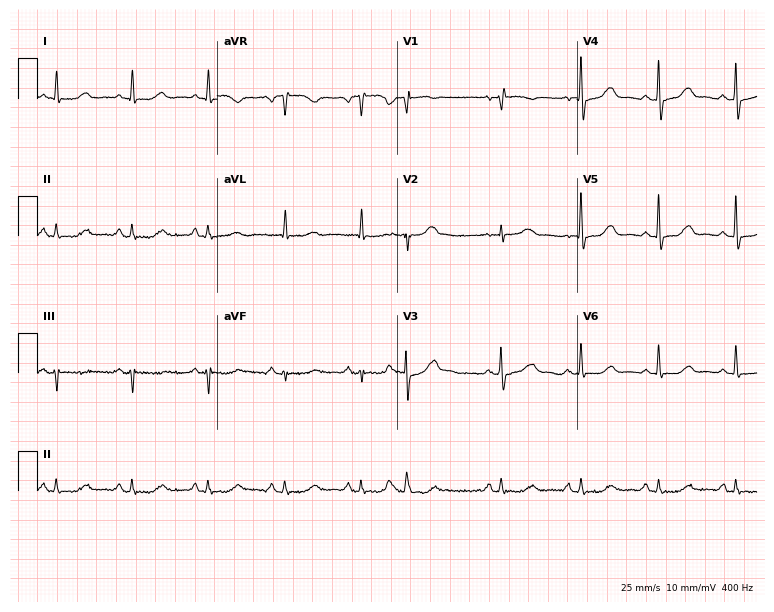
12-lead ECG from a female, 84 years old (7.3-second recording at 400 Hz). No first-degree AV block, right bundle branch block (RBBB), left bundle branch block (LBBB), sinus bradycardia, atrial fibrillation (AF) or sinus tachycardia recorded for this tracing.